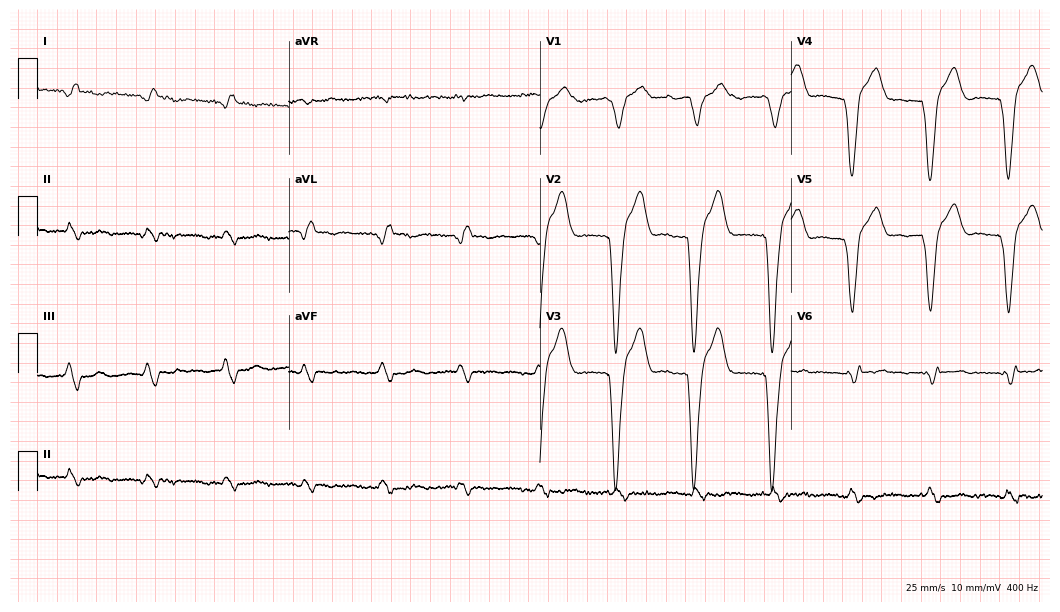
Standard 12-lead ECG recorded from a 71-year-old man. None of these six findings is recorded: first-degree AV block, right bundle branch block (RBBB), left bundle branch block (LBBB), sinus bradycardia, atrial fibrillation (AF), sinus tachycardia. Findings outside these six are not listed.